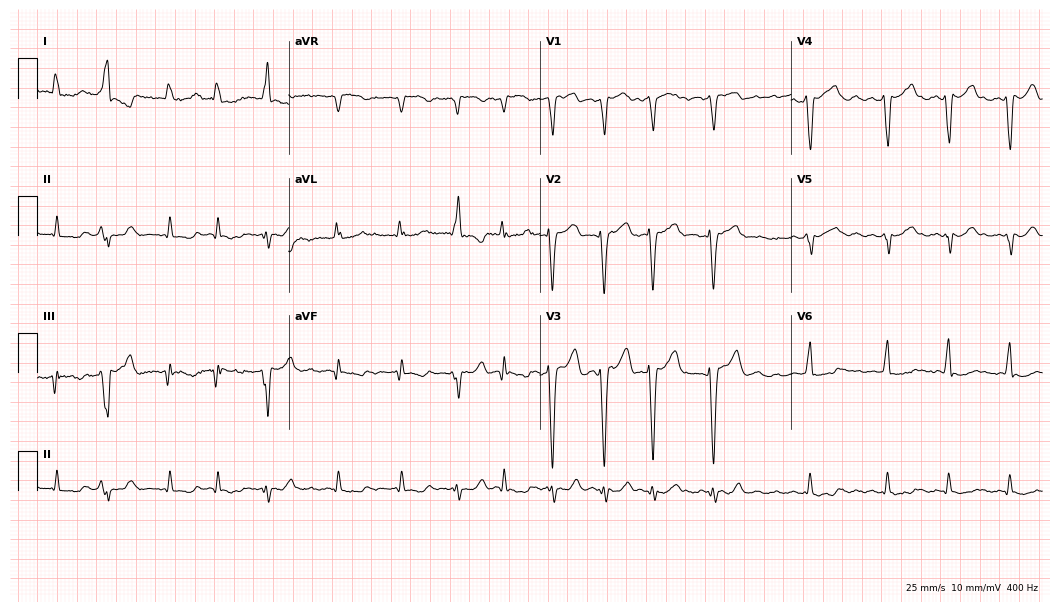
Standard 12-lead ECG recorded from a 73-year-old male. The tracing shows atrial fibrillation.